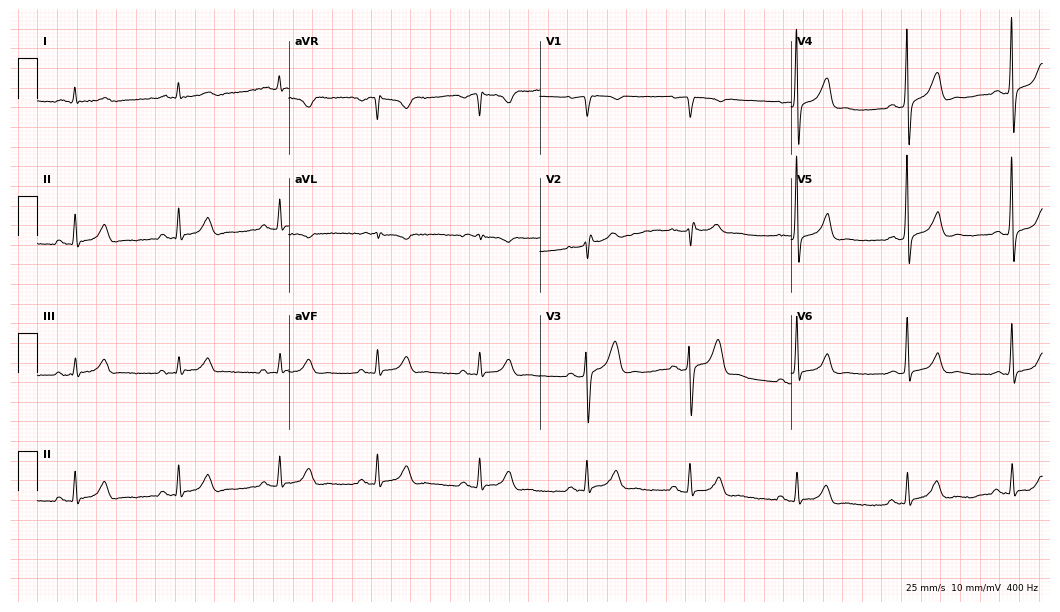
Electrocardiogram (10.2-second recording at 400 Hz), a 50-year-old man. Overall reading on record: normal ECG.